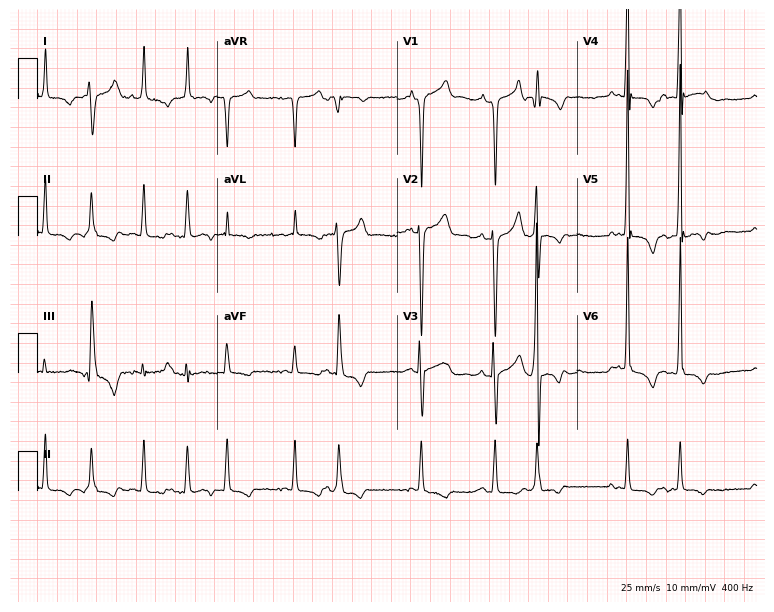
ECG — a 73-year-old male. Findings include atrial fibrillation.